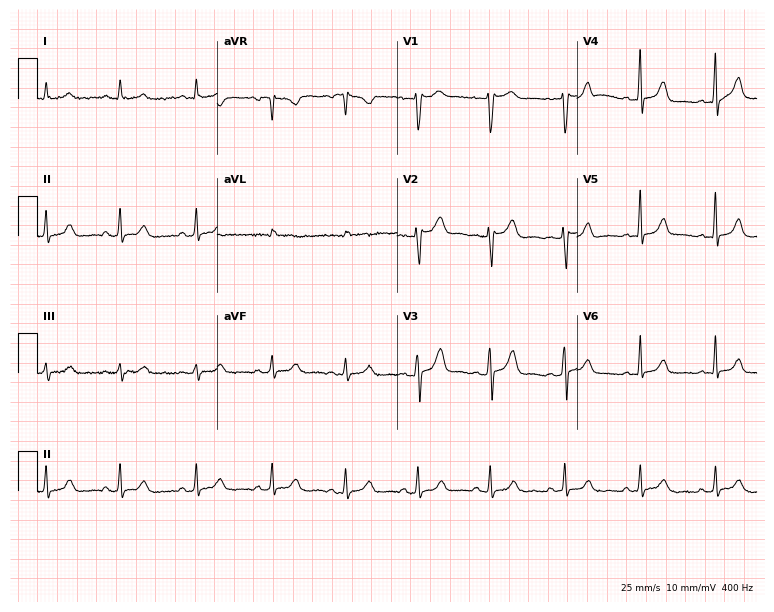
ECG (7.3-second recording at 400 Hz) — a female, 46 years old. Labelled as a normal ECG.